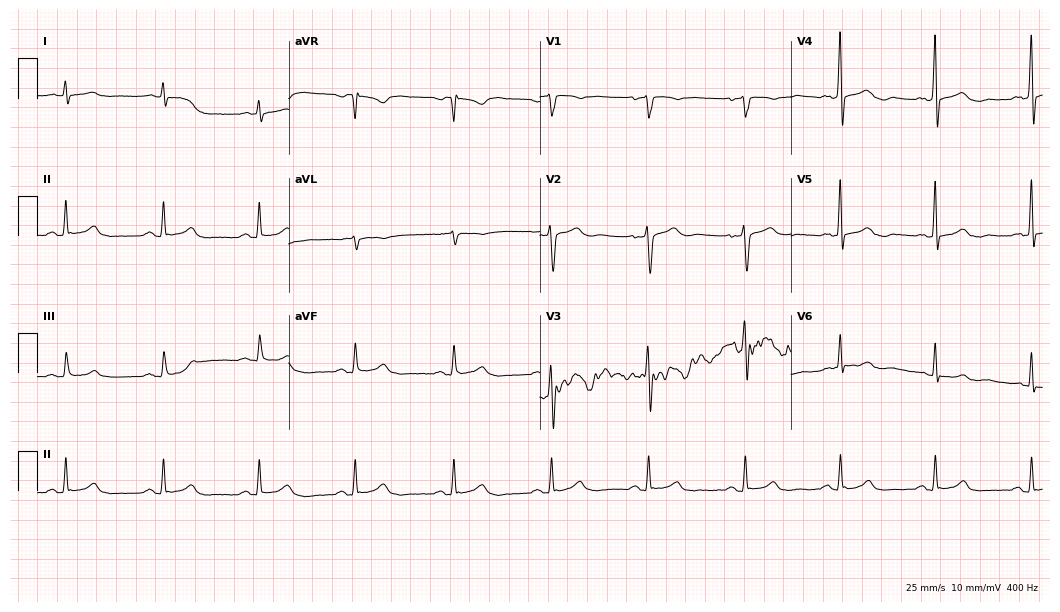
Resting 12-lead electrocardiogram. Patient: a man, 53 years old. Read as a normal ECG.